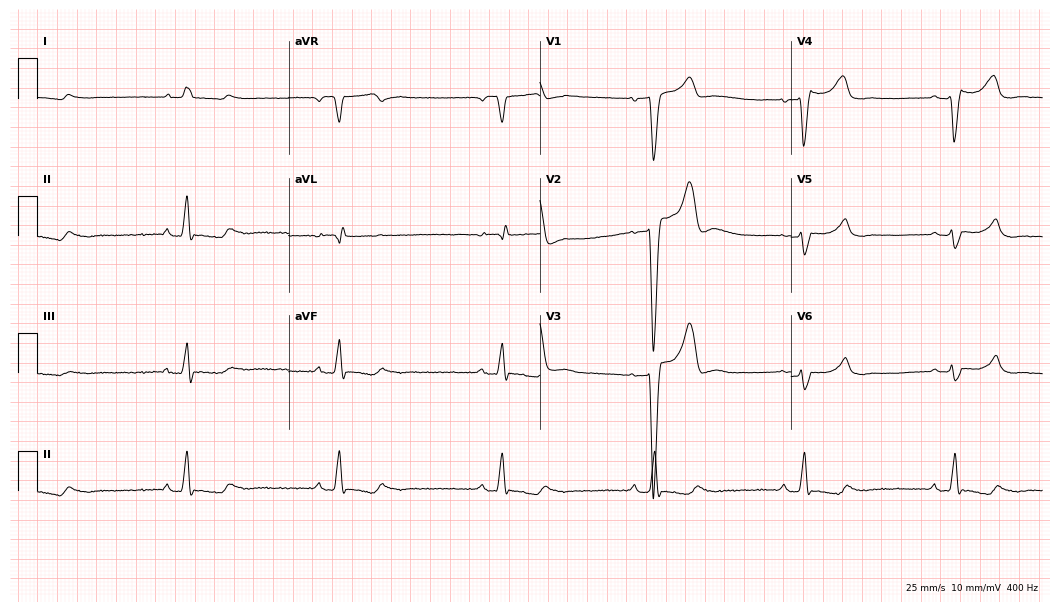
Standard 12-lead ECG recorded from a male, 82 years old (10.2-second recording at 400 Hz). The tracing shows right bundle branch block, left bundle branch block, sinus bradycardia (a sinus rate of 50 beats per minute or less).